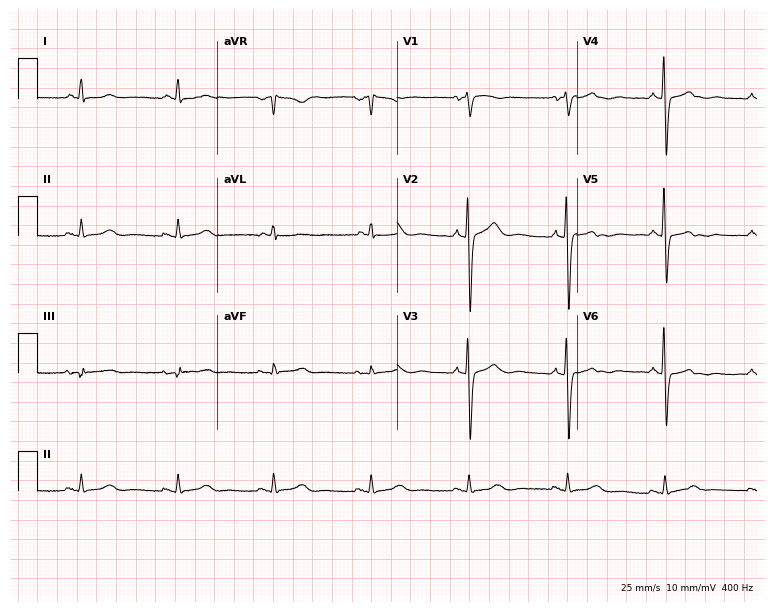
12-lead ECG from a 75-year-old man (7.3-second recording at 400 Hz). No first-degree AV block, right bundle branch block, left bundle branch block, sinus bradycardia, atrial fibrillation or sinus tachycardia recorded for this tracing. Findings outside these six are not listed.